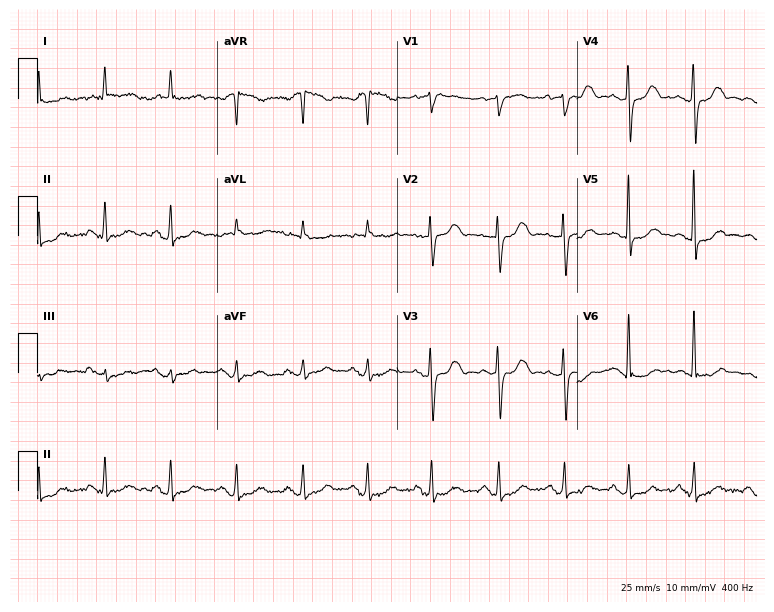
ECG — a 79-year-old woman. Screened for six findings — first-degree AV block, right bundle branch block (RBBB), left bundle branch block (LBBB), sinus bradycardia, atrial fibrillation (AF), sinus tachycardia — none is recorded.